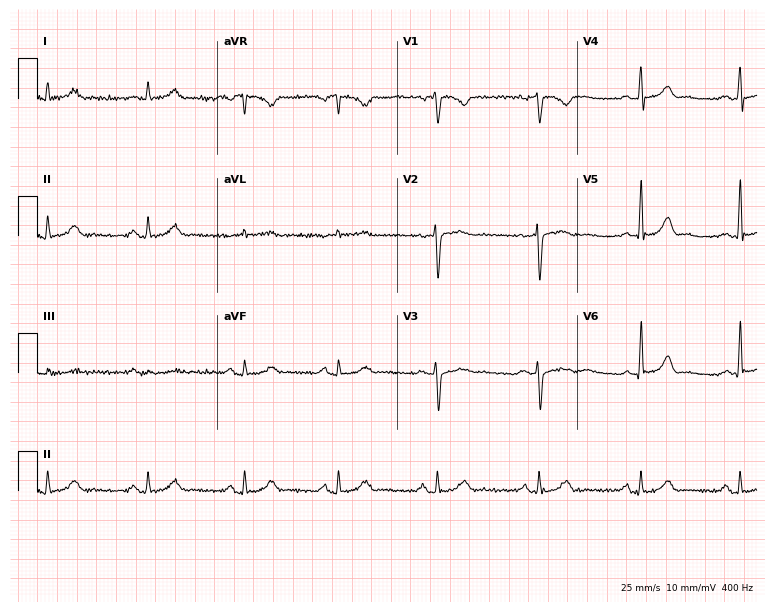
Resting 12-lead electrocardiogram. Patient: a man, 43 years old. Read as a normal ECG.